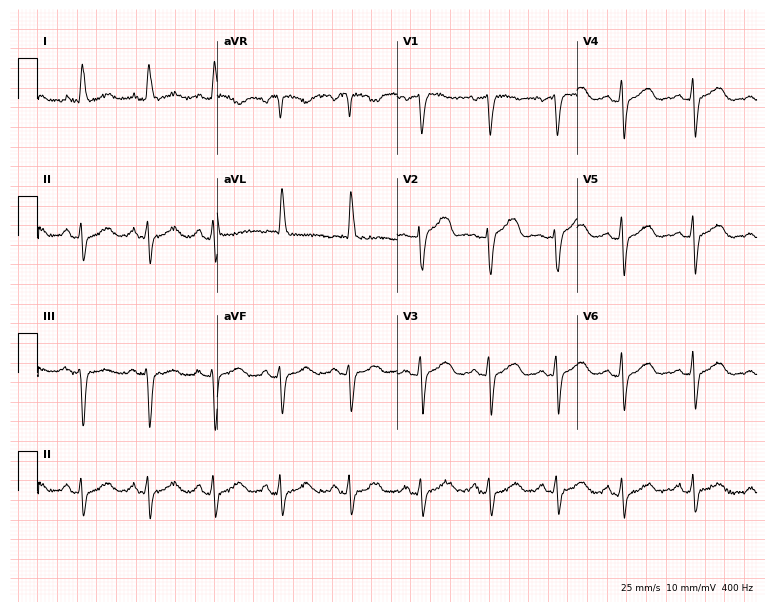
Resting 12-lead electrocardiogram (7.3-second recording at 400 Hz). Patient: a woman, 74 years old. None of these six findings is recorded: first-degree AV block, right bundle branch block (RBBB), left bundle branch block (LBBB), sinus bradycardia, atrial fibrillation (AF), sinus tachycardia. Only these six findings were labelled.